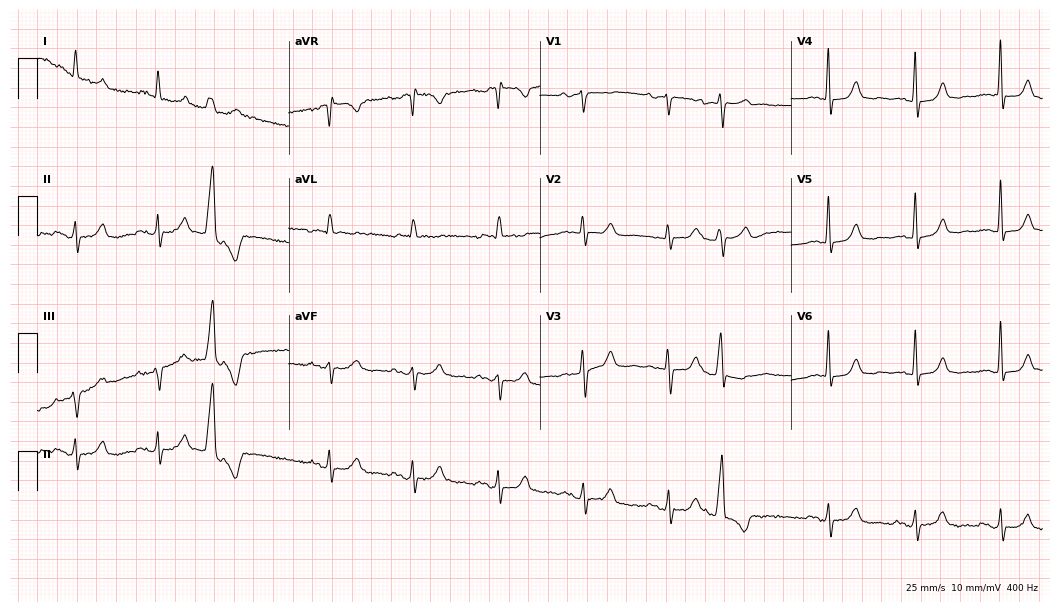
Standard 12-lead ECG recorded from an 81-year-old female. None of these six findings is recorded: first-degree AV block, right bundle branch block, left bundle branch block, sinus bradycardia, atrial fibrillation, sinus tachycardia.